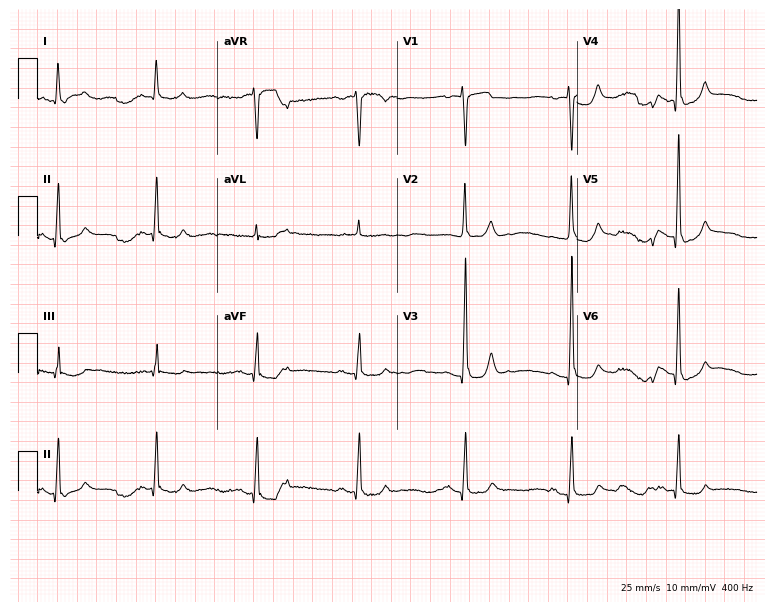
12-lead ECG from a woman, 82 years old (7.3-second recording at 400 Hz). No first-degree AV block, right bundle branch block, left bundle branch block, sinus bradycardia, atrial fibrillation or sinus tachycardia recorded for this tracing.